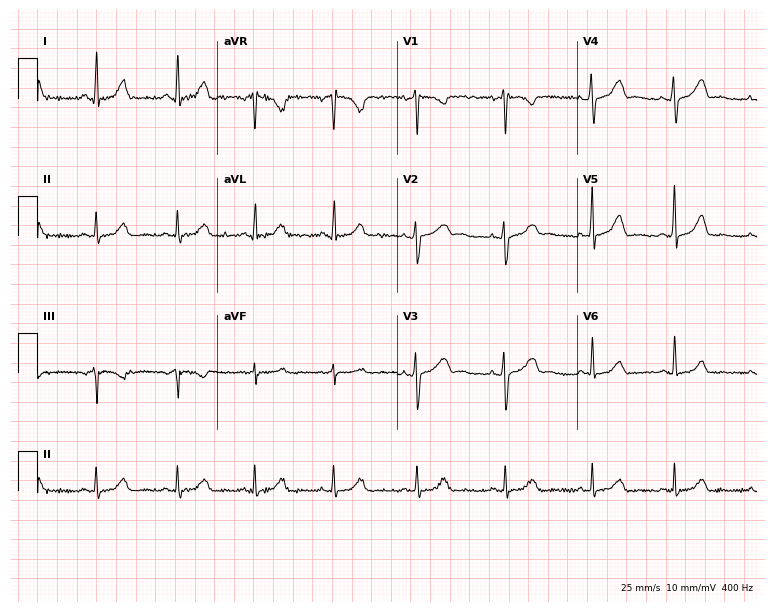
ECG — a female patient, 37 years old. Labelled as a normal ECG.